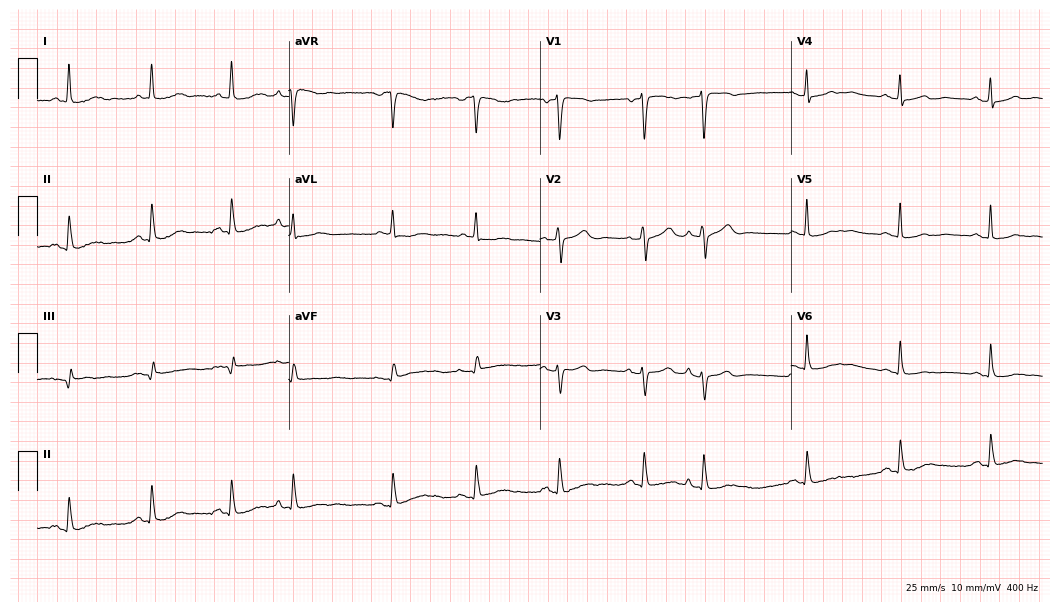
Resting 12-lead electrocardiogram. Patient: a woman, 85 years old. None of these six findings is recorded: first-degree AV block, right bundle branch block, left bundle branch block, sinus bradycardia, atrial fibrillation, sinus tachycardia. Findings outside these six are not listed.